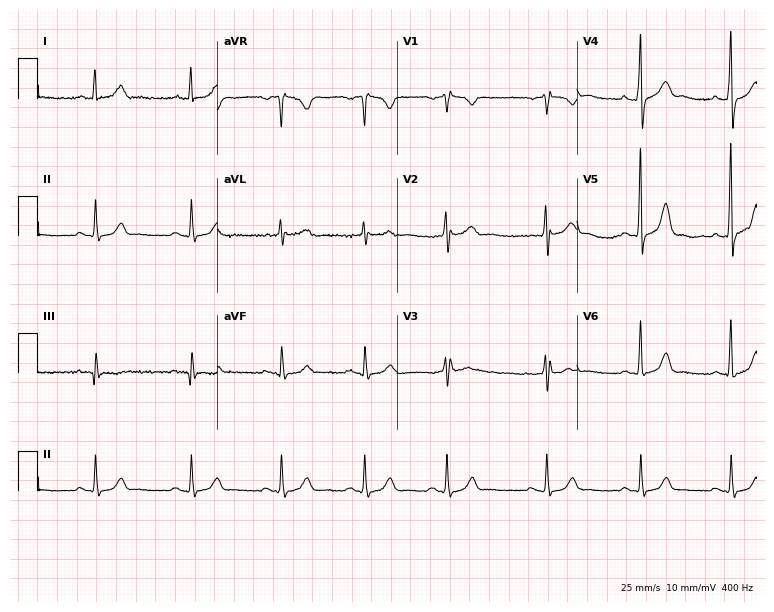
Electrocardiogram (7.3-second recording at 400 Hz), a man, 43 years old. Of the six screened findings (first-degree AV block, right bundle branch block (RBBB), left bundle branch block (LBBB), sinus bradycardia, atrial fibrillation (AF), sinus tachycardia), none is recorded. Only these six findings were labelled.